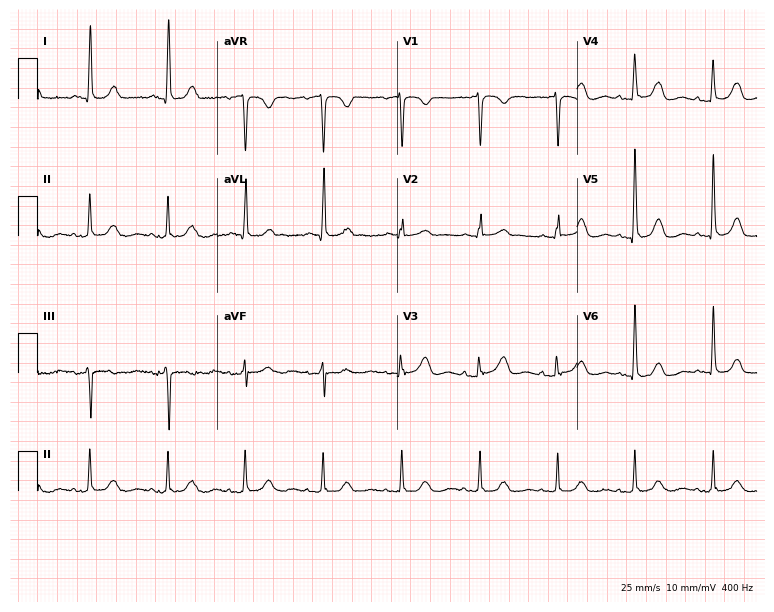
Standard 12-lead ECG recorded from a female, 79 years old (7.3-second recording at 400 Hz). None of these six findings is recorded: first-degree AV block, right bundle branch block, left bundle branch block, sinus bradycardia, atrial fibrillation, sinus tachycardia. Other findings, if any, are not listed.